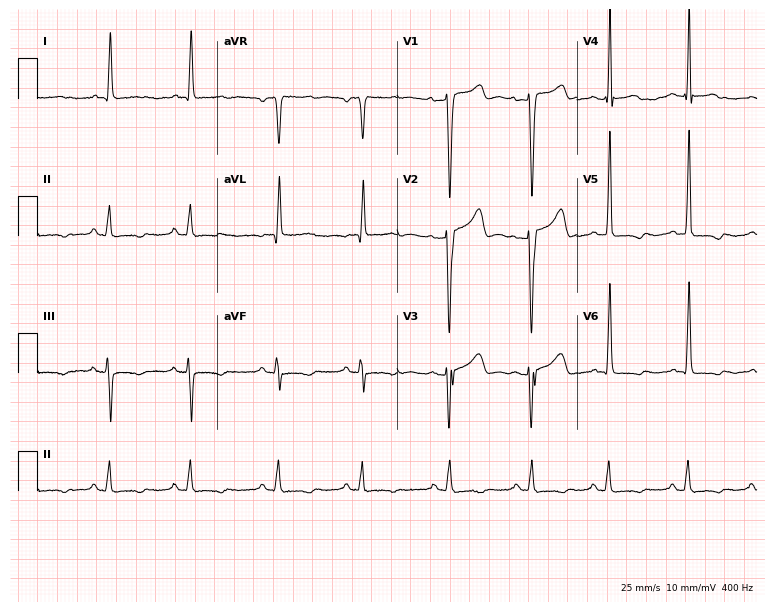
Standard 12-lead ECG recorded from a female, 41 years old. None of these six findings is recorded: first-degree AV block, right bundle branch block (RBBB), left bundle branch block (LBBB), sinus bradycardia, atrial fibrillation (AF), sinus tachycardia. Findings outside these six are not listed.